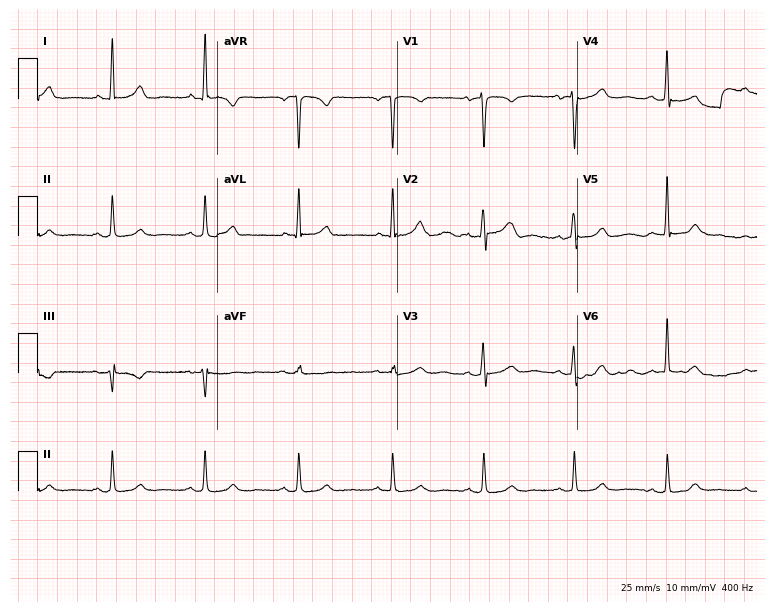
ECG (7.3-second recording at 400 Hz) — a 60-year-old female. Screened for six findings — first-degree AV block, right bundle branch block (RBBB), left bundle branch block (LBBB), sinus bradycardia, atrial fibrillation (AF), sinus tachycardia — none is recorded. Findings outside these six are not listed.